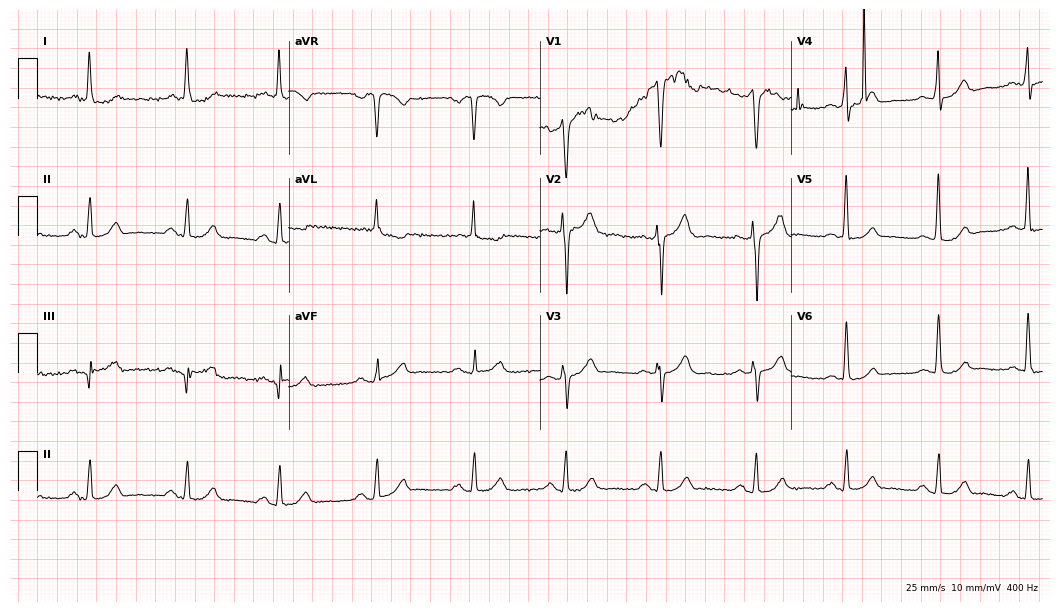
Standard 12-lead ECG recorded from a male, 54 years old. Read as a normal ECG.